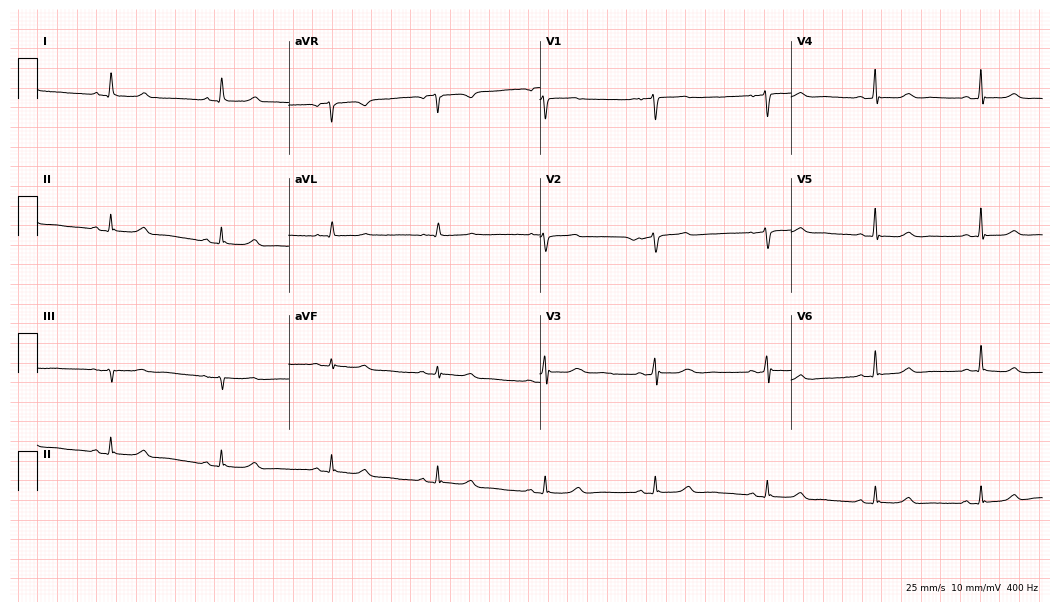
Standard 12-lead ECG recorded from a woman, 64 years old (10.2-second recording at 400 Hz). None of these six findings is recorded: first-degree AV block, right bundle branch block (RBBB), left bundle branch block (LBBB), sinus bradycardia, atrial fibrillation (AF), sinus tachycardia. Findings outside these six are not listed.